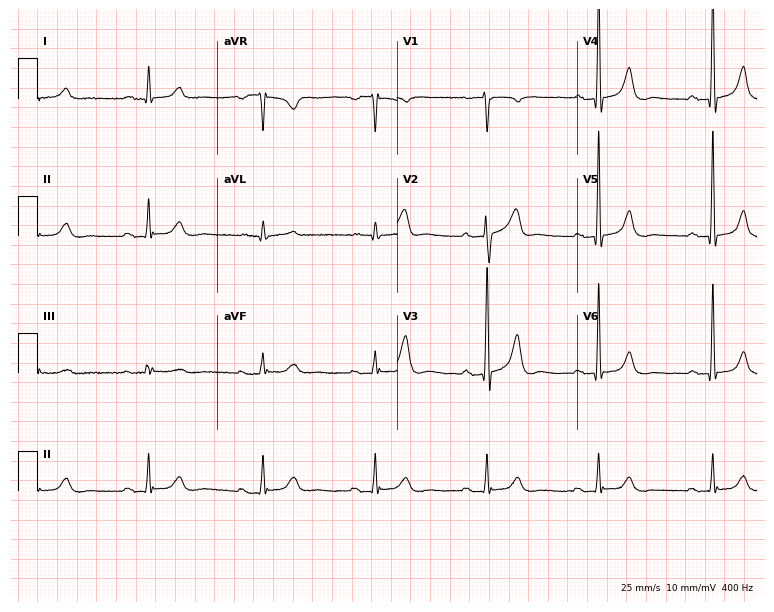
Resting 12-lead electrocardiogram (7.3-second recording at 400 Hz). Patient: a 66-year-old male. The tracing shows first-degree AV block.